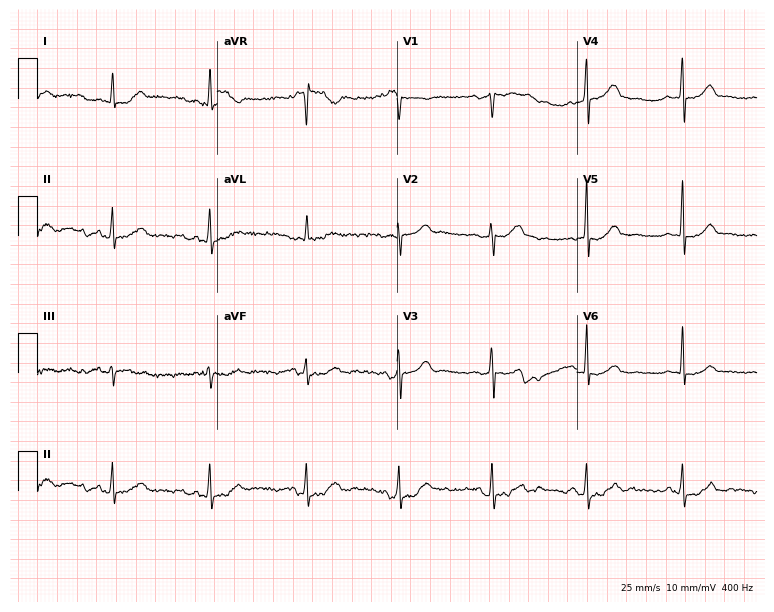
Resting 12-lead electrocardiogram (7.3-second recording at 400 Hz). Patient: a 50-year-old female. None of these six findings is recorded: first-degree AV block, right bundle branch block, left bundle branch block, sinus bradycardia, atrial fibrillation, sinus tachycardia.